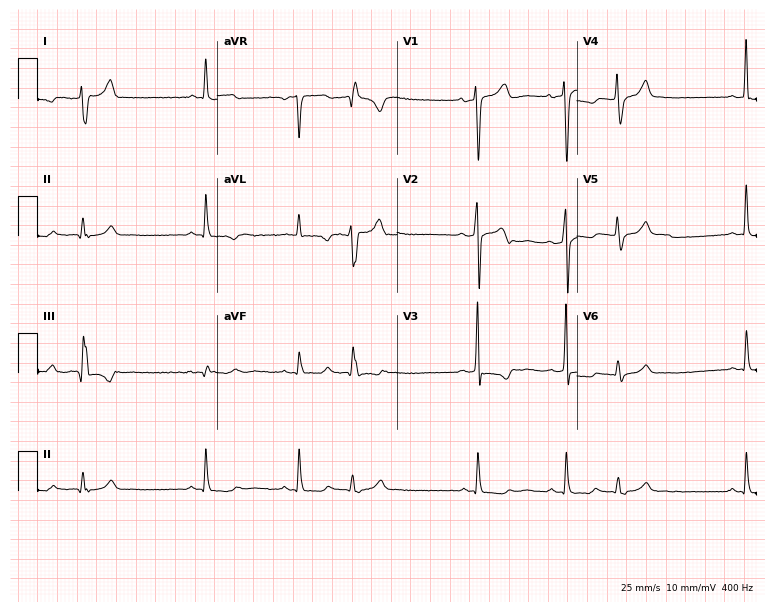
12-lead ECG from a male, 51 years old (7.3-second recording at 400 Hz). No first-degree AV block, right bundle branch block, left bundle branch block, sinus bradycardia, atrial fibrillation or sinus tachycardia recorded for this tracing. Findings outside these six are not listed.